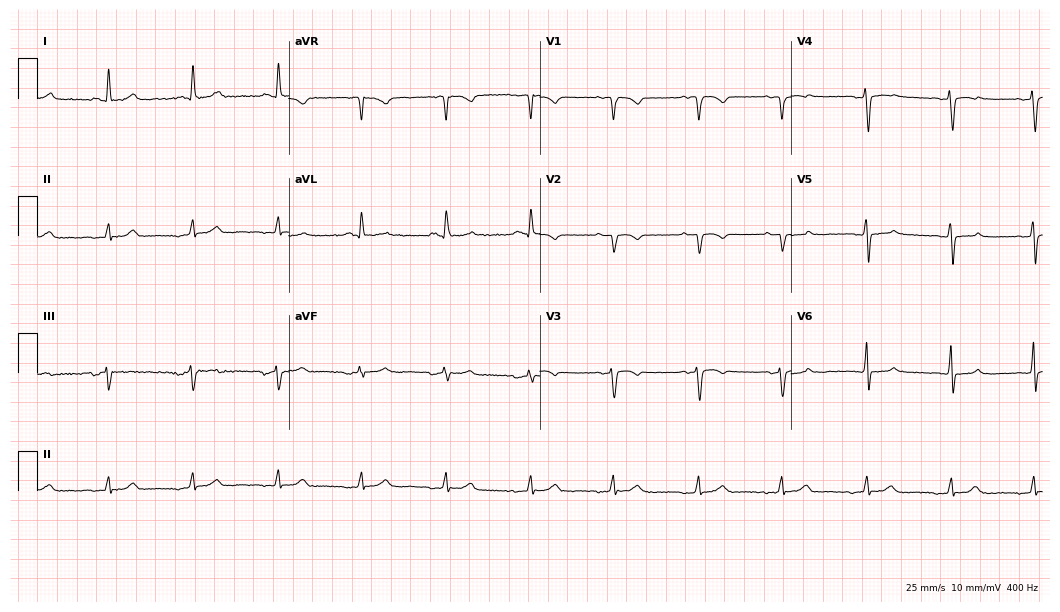
ECG — a woman, 66 years old. Screened for six findings — first-degree AV block, right bundle branch block (RBBB), left bundle branch block (LBBB), sinus bradycardia, atrial fibrillation (AF), sinus tachycardia — none is recorded.